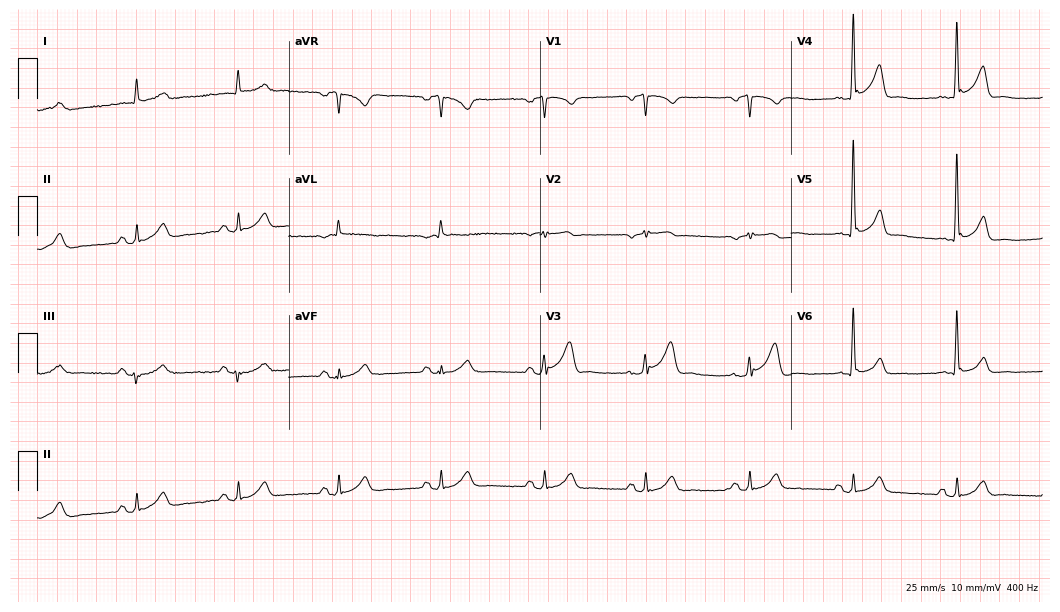
ECG — a 74-year-old male. Screened for six findings — first-degree AV block, right bundle branch block, left bundle branch block, sinus bradycardia, atrial fibrillation, sinus tachycardia — none is recorded. Other findings, if any, are not listed.